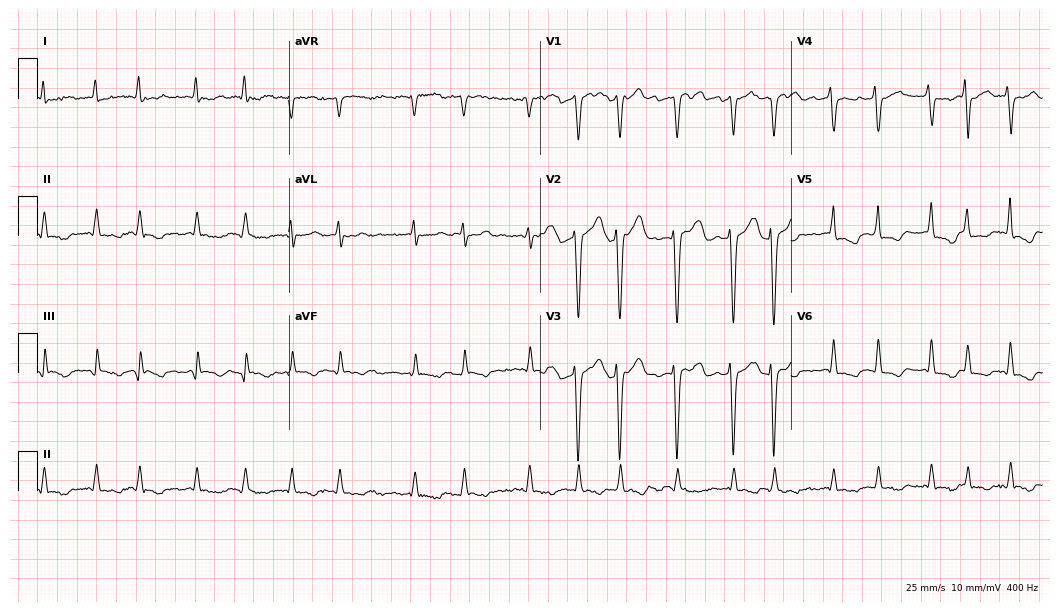
Resting 12-lead electrocardiogram. Patient: a 64-year-old woman. The tracing shows atrial fibrillation.